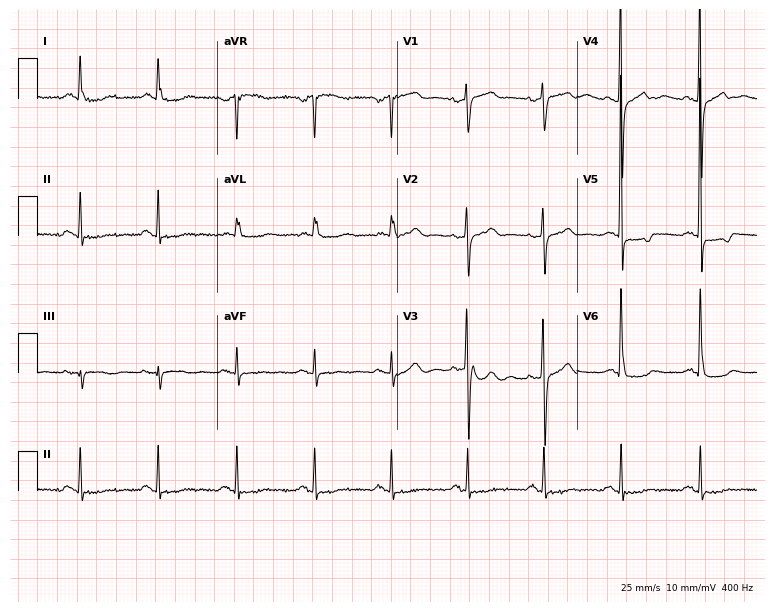
Resting 12-lead electrocardiogram. Patient: a 74-year-old female. None of these six findings is recorded: first-degree AV block, right bundle branch block, left bundle branch block, sinus bradycardia, atrial fibrillation, sinus tachycardia. Only these six findings were labelled.